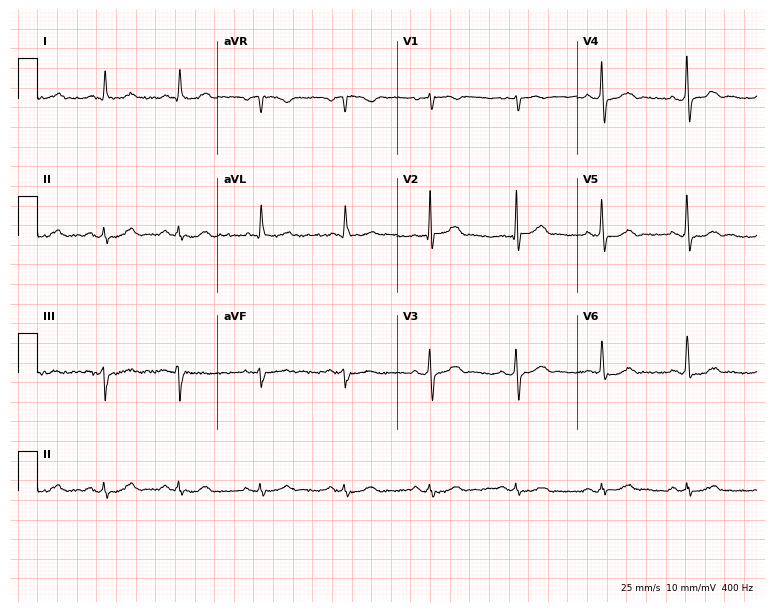
ECG — a 68-year-old male patient. Labelled as a normal ECG.